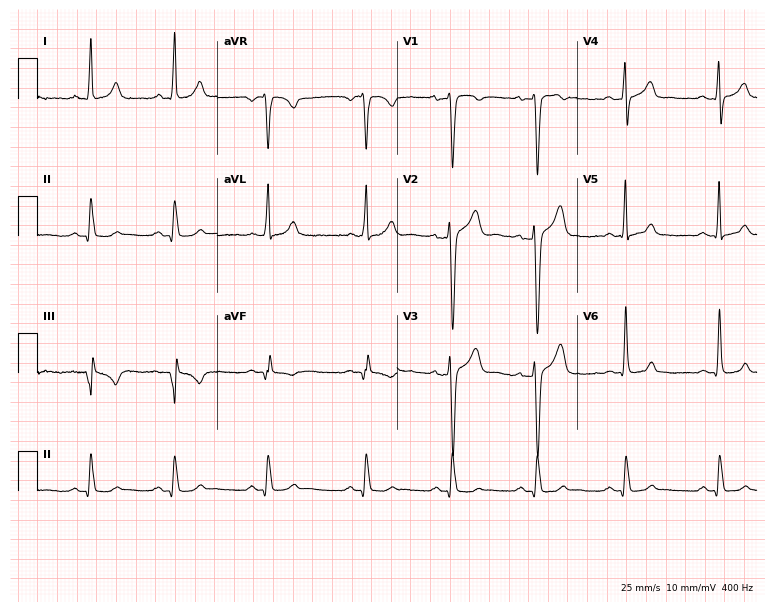
ECG — a 31-year-old male. Screened for six findings — first-degree AV block, right bundle branch block (RBBB), left bundle branch block (LBBB), sinus bradycardia, atrial fibrillation (AF), sinus tachycardia — none is recorded.